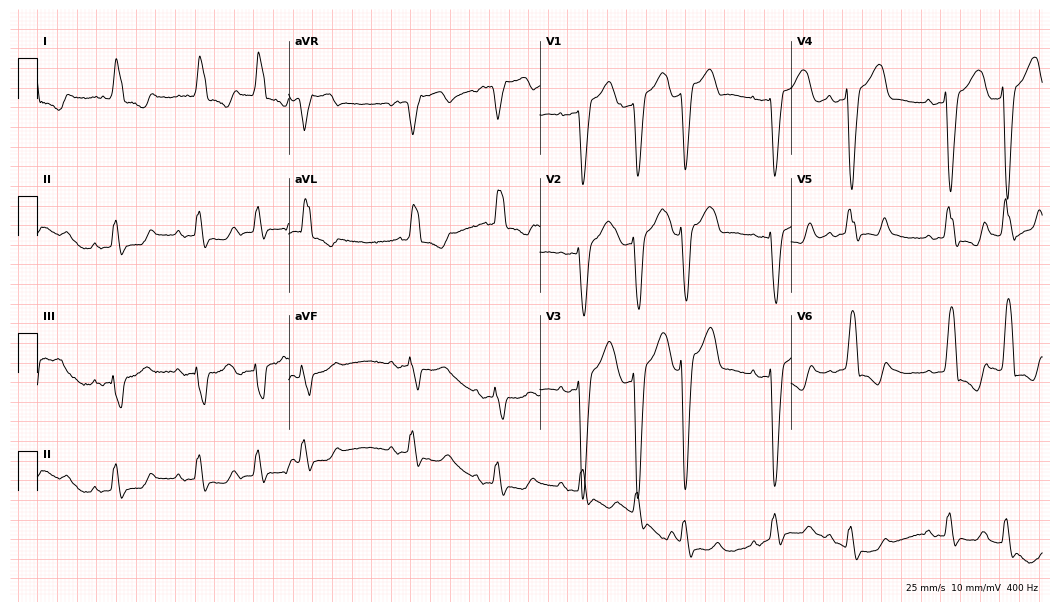
Electrocardiogram, a woman, 80 years old. Interpretation includes left bundle branch block.